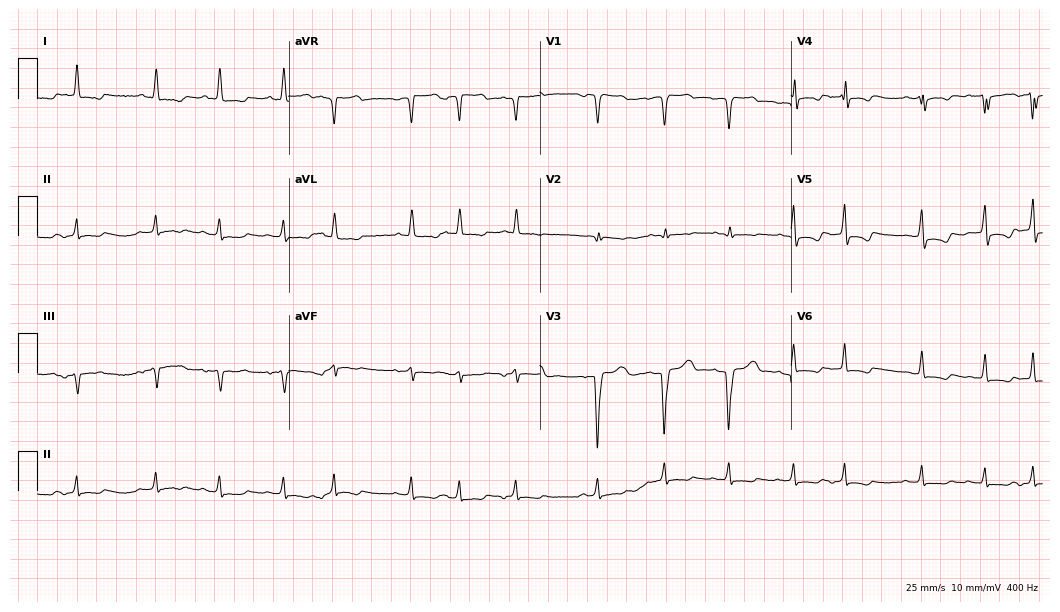
Standard 12-lead ECG recorded from a female patient, 79 years old. None of these six findings is recorded: first-degree AV block, right bundle branch block, left bundle branch block, sinus bradycardia, atrial fibrillation, sinus tachycardia. Other findings, if any, are not listed.